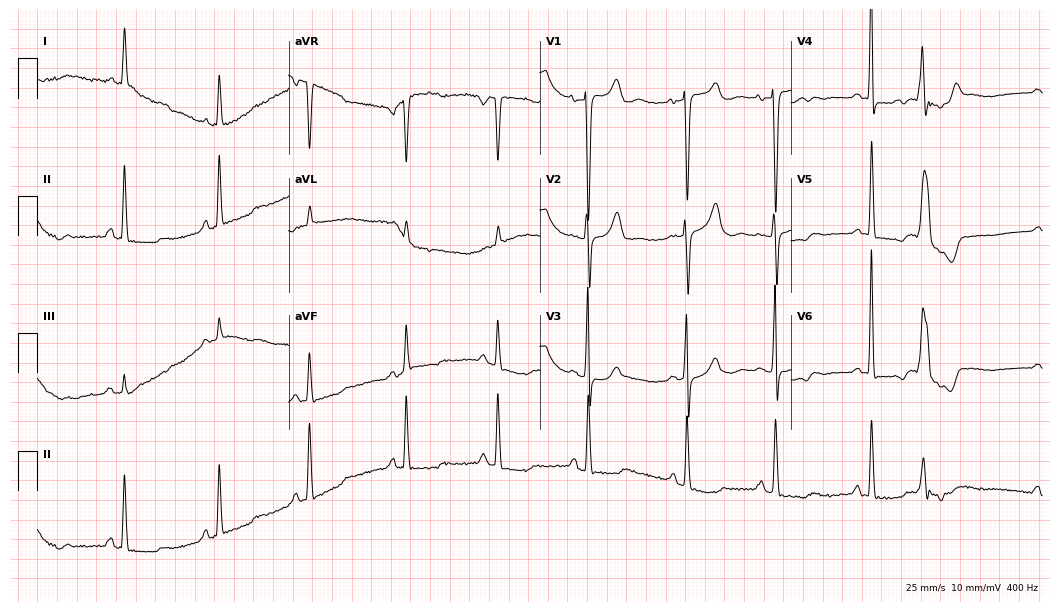
Resting 12-lead electrocardiogram. Patient: an 80-year-old female. None of these six findings is recorded: first-degree AV block, right bundle branch block, left bundle branch block, sinus bradycardia, atrial fibrillation, sinus tachycardia. Other findings, if any, are not listed.